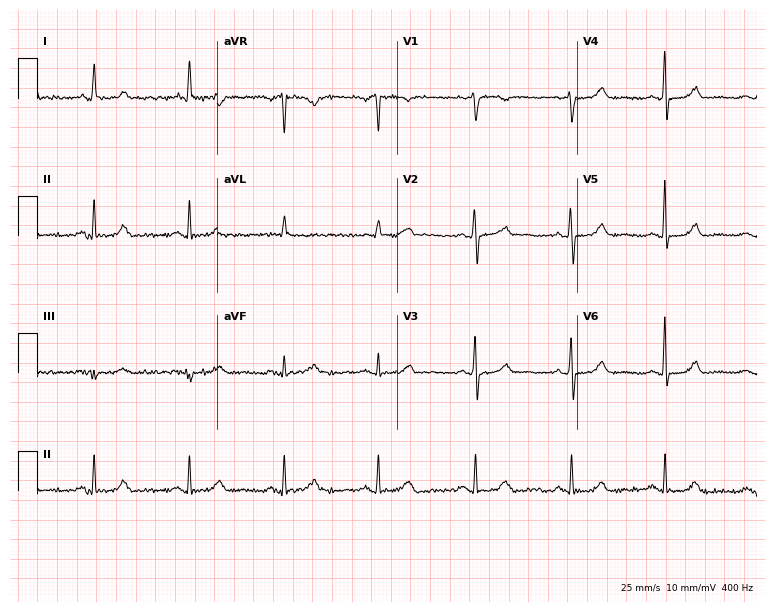
Resting 12-lead electrocardiogram. Patient: a female, 73 years old. Read as a normal ECG.